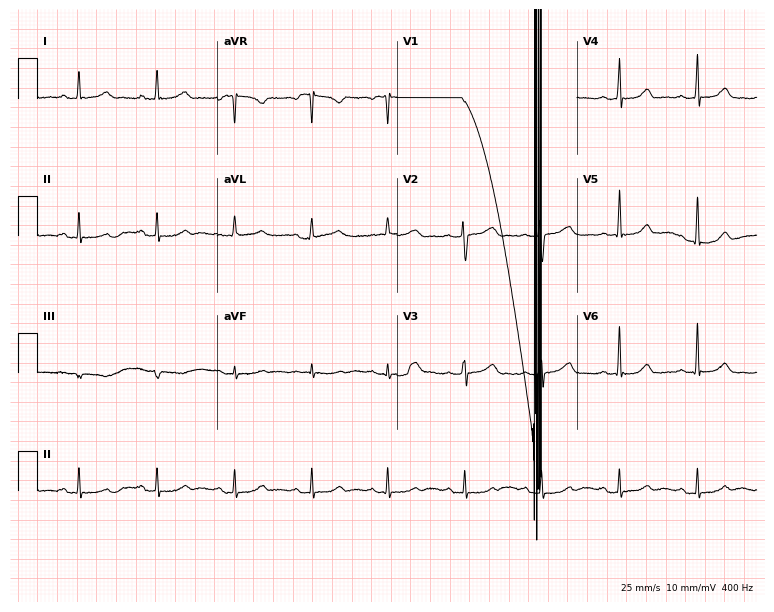
Resting 12-lead electrocardiogram. Patient: a 51-year-old female. None of these six findings is recorded: first-degree AV block, right bundle branch block, left bundle branch block, sinus bradycardia, atrial fibrillation, sinus tachycardia. Only these six findings were labelled.